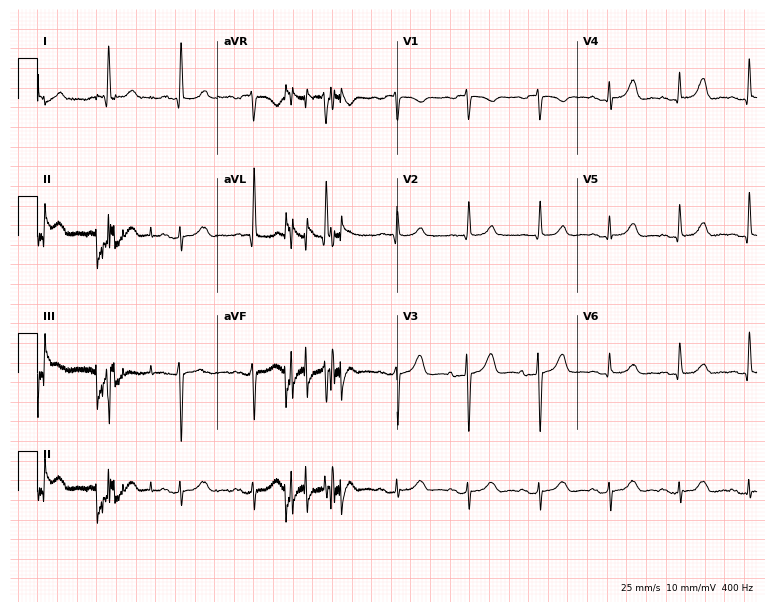
Electrocardiogram (7.3-second recording at 400 Hz), a female patient, 72 years old. Of the six screened findings (first-degree AV block, right bundle branch block, left bundle branch block, sinus bradycardia, atrial fibrillation, sinus tachycardia), none is recorded.